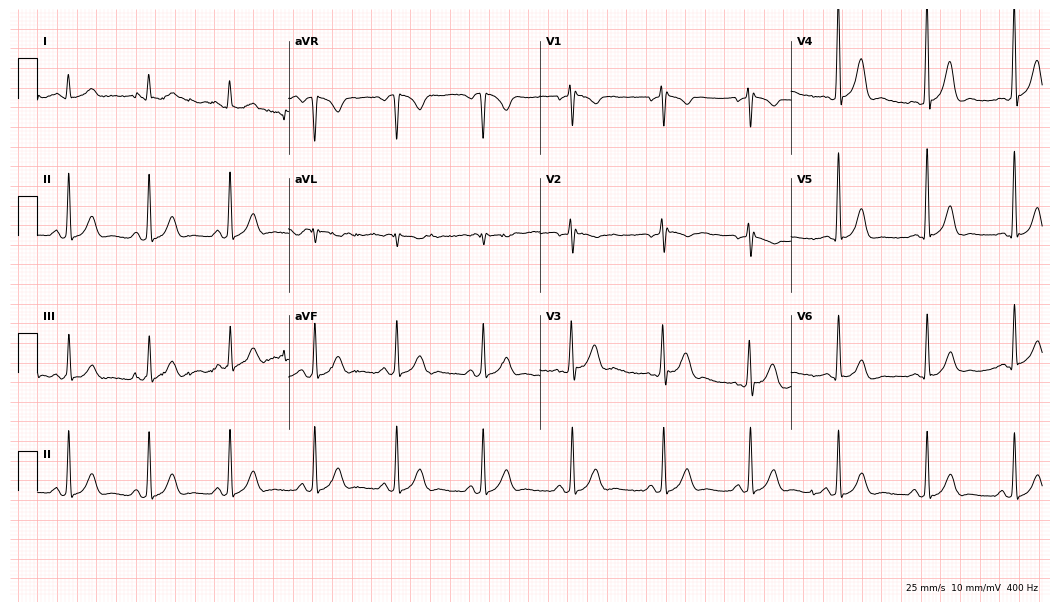
Electrocardiogram (10.2-second recording at 400 Hz), a 25-year-old male patient. Of the six screened findings (first-degree AV block, right bundle branch block, left bundle branch block, sinus bradycardia, atrial fibrillation, sinus tachycardia), none is recorded. Other findings, if any, are not listed.